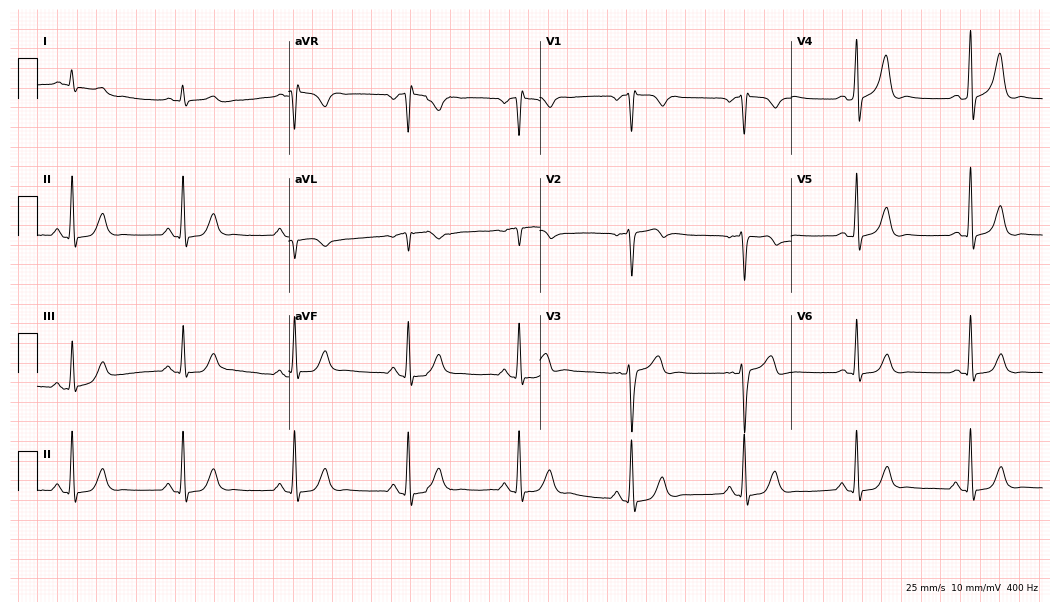
12-lead ECG from a man, 62 years old (10.2-second recording at 400 Hz). Recorded interpretation: within normal limits.